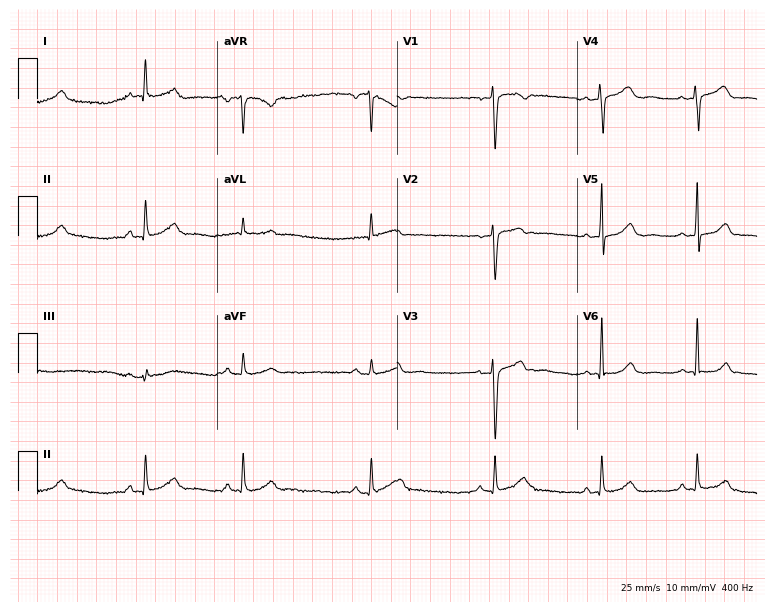
12-lead ECG from a 29-year-old woman. Recorded interpretation: within normal limits.